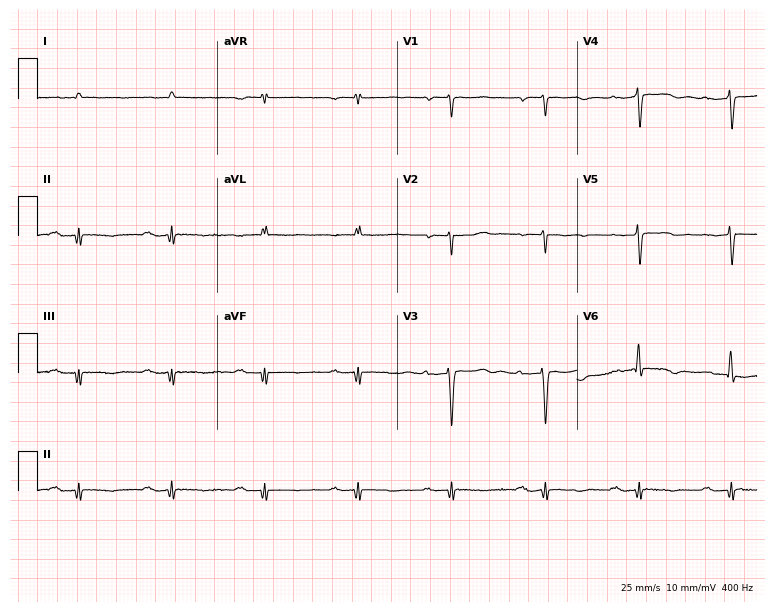
12-lead ECG from a woman, 84 years old. Findings include first-degree AV block.